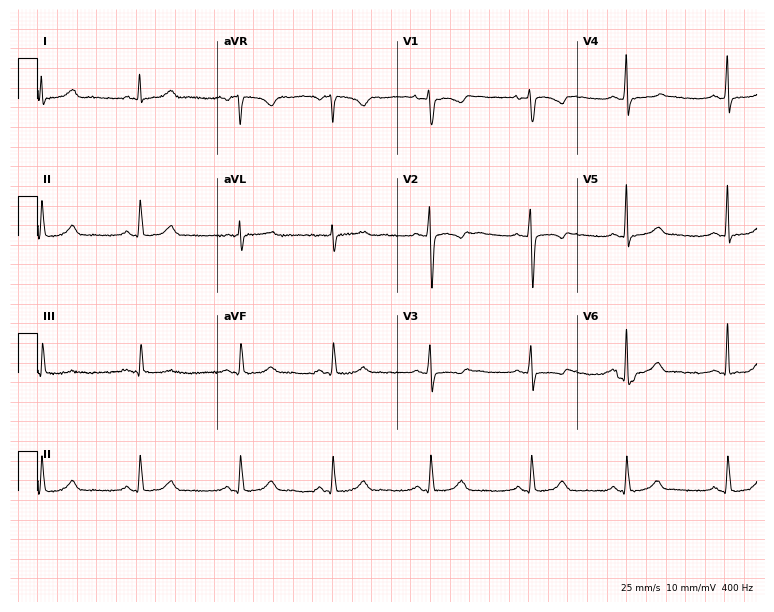
ECG — a female patient, 26 years old. Labelled as a normal ECG.